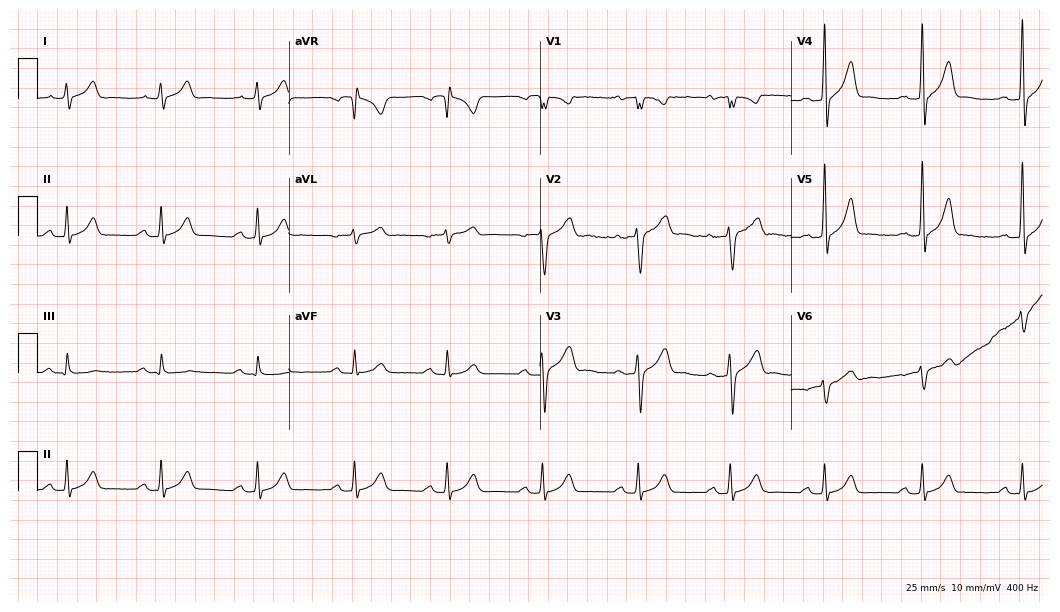
ECG (10.2-second recording at 400 Hz) — a male, 32 years old. Labelled as a normal ECG.